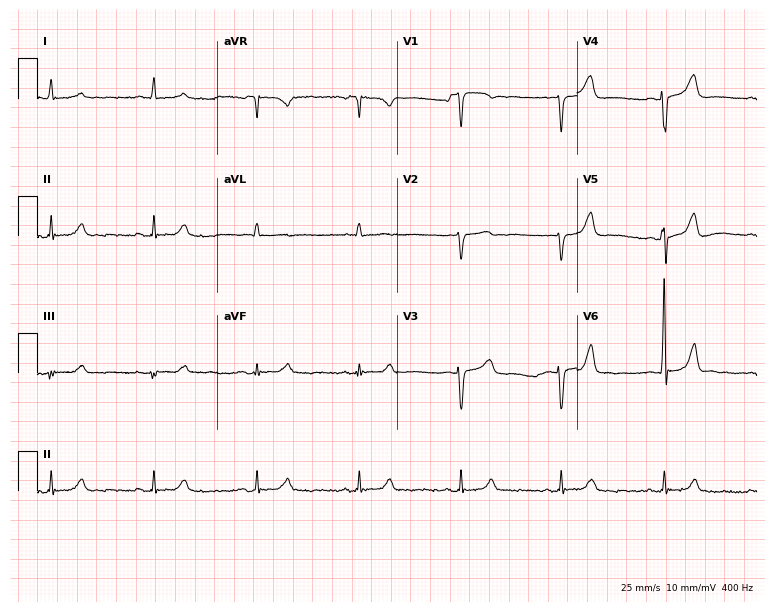
Electrocardiogram (7.3-second recording at 400 Hz), a 61-year-old female patient. Of the six screened findings (first-degree AV block, right bundle branch block (RBBB), left bundle branch block (LBBB), sinus bradycardia, atrial fibrillation (AF), sinus tachycardia), none is recorded.